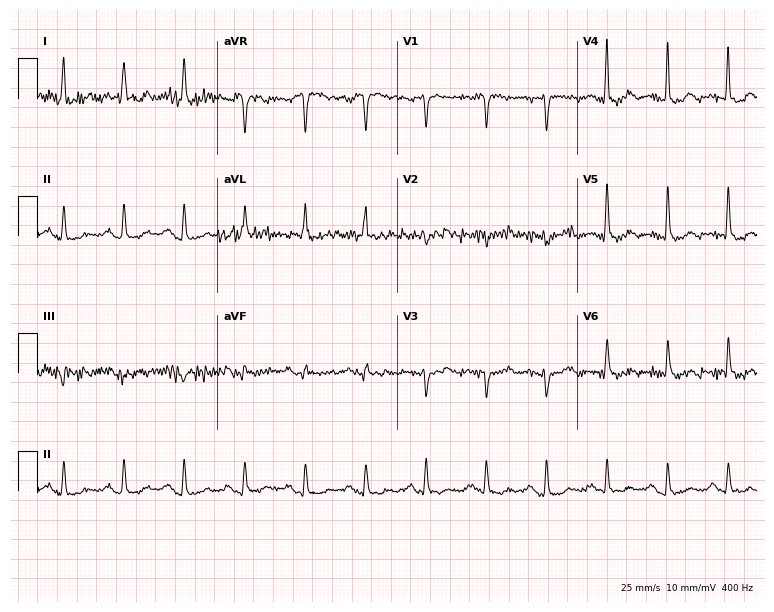
Resting 12-lead electrocardiogram. Patient: a 70-year-old female. None of these six findings is recorded: first-degree AV block, right bundle branch block, left bundle branch block, sinus bradycardia, atrial fibrillation, sinus tachycardia.